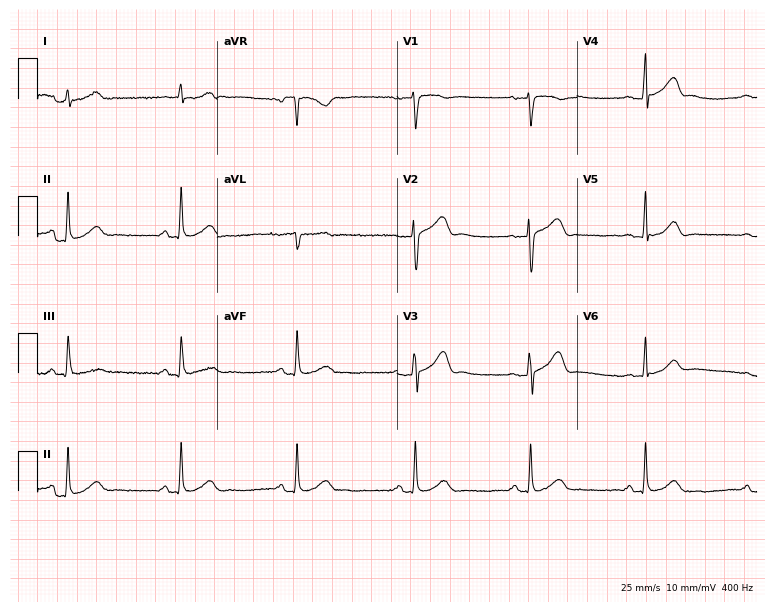
Electrocardiogram (7.3-second recording at 400 Hz), a man, 45 years old. Overall reading on record: normal ECG.